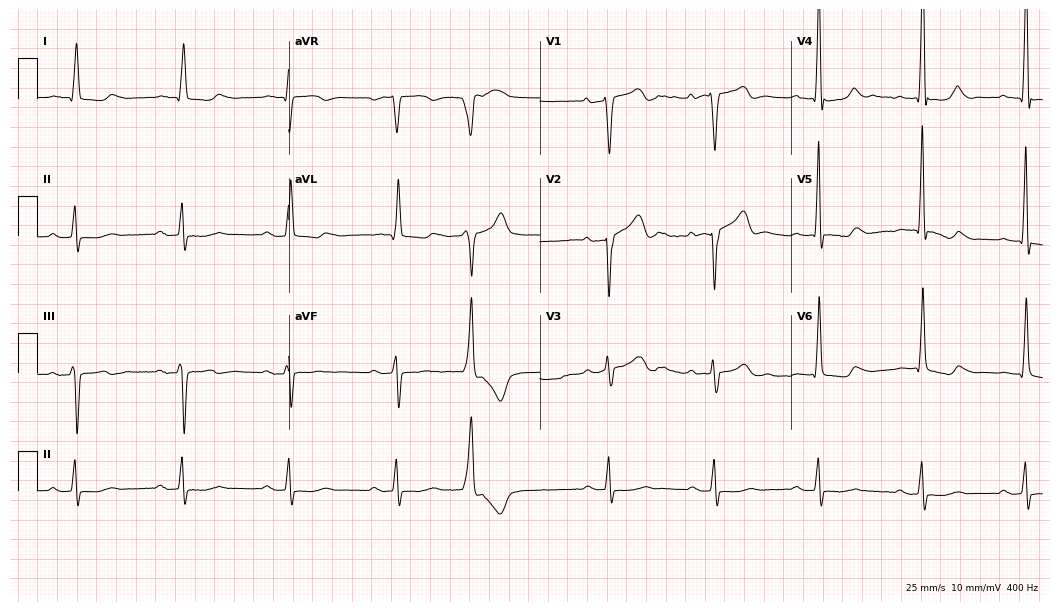
Electrocardiogram (10.2-second recording at 400 Hz), a male, 80 years old. Interpretation includes first-degree AV block.